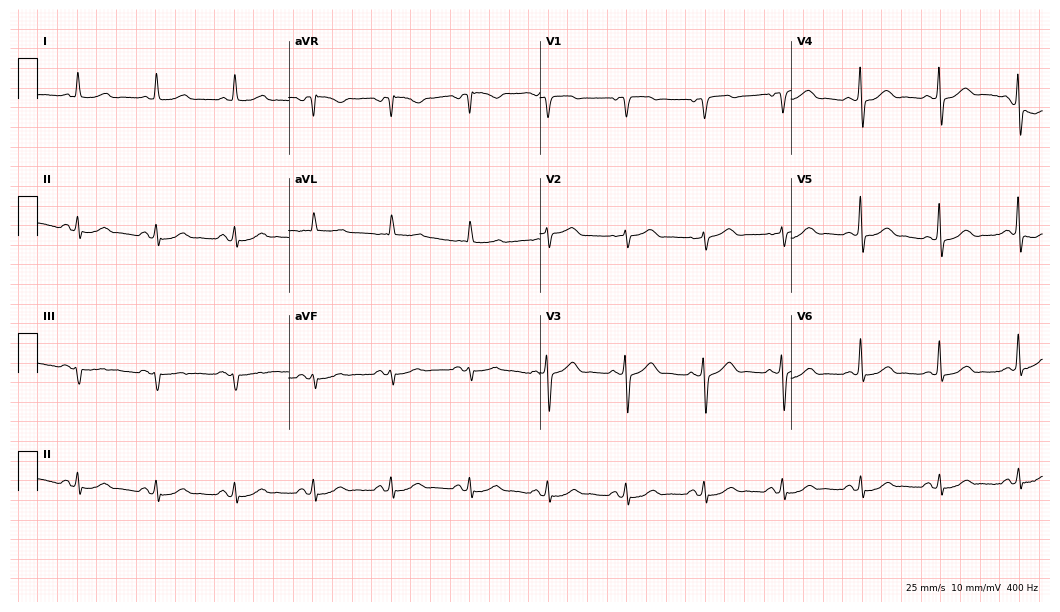
12-lead ECG from a female patient, 83 years old (10.2-second recording at 400 Hz). Recorded interpretation: within normal limits.